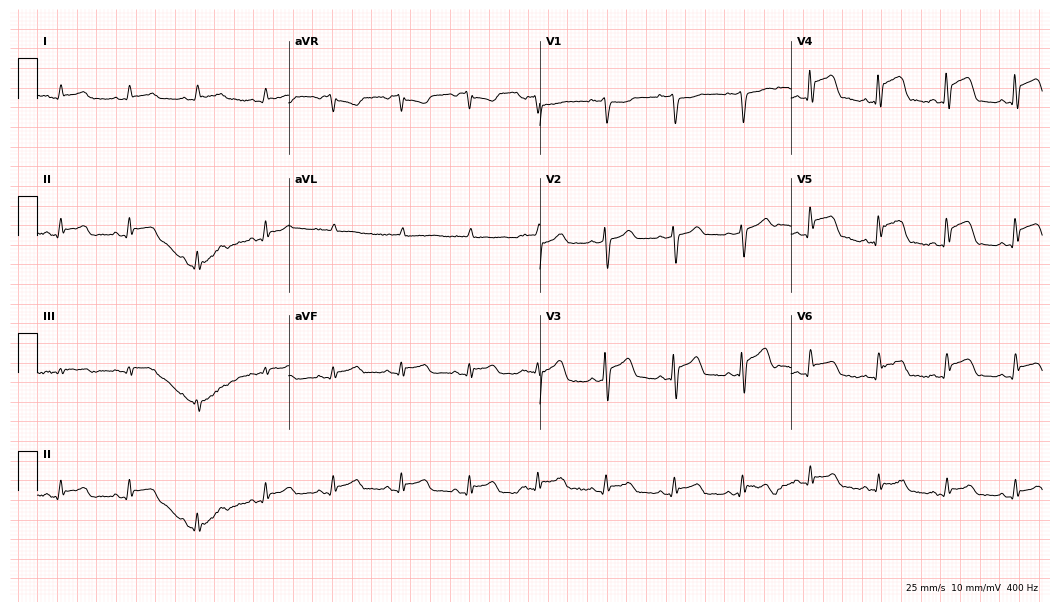
12-lead ECG from a male, 73 years old. Screened for six findings — first-degree AV block, right bundle branch block, left bundle branch block, sinus bradycardia, atrial fibrillation, sinus tachycardia — none is recorded.